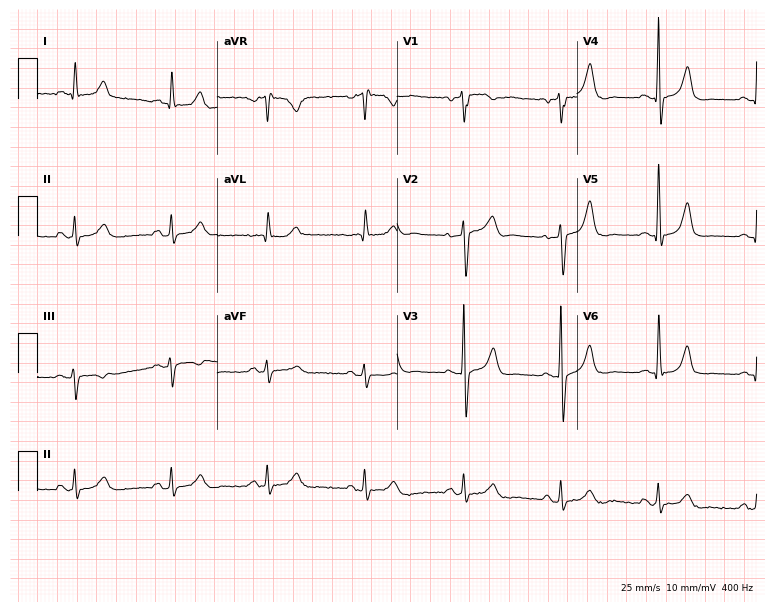
12-lead ECG from a man, 53 years old. Screened for six findings — first-degree AV block, right bundle branch block (RBBB), left bundle branch block (LBBB), sinus bradycardia, atrial fibrillation (AF), sinus tachycardia — none is recorded. Only these six findings were labelled.